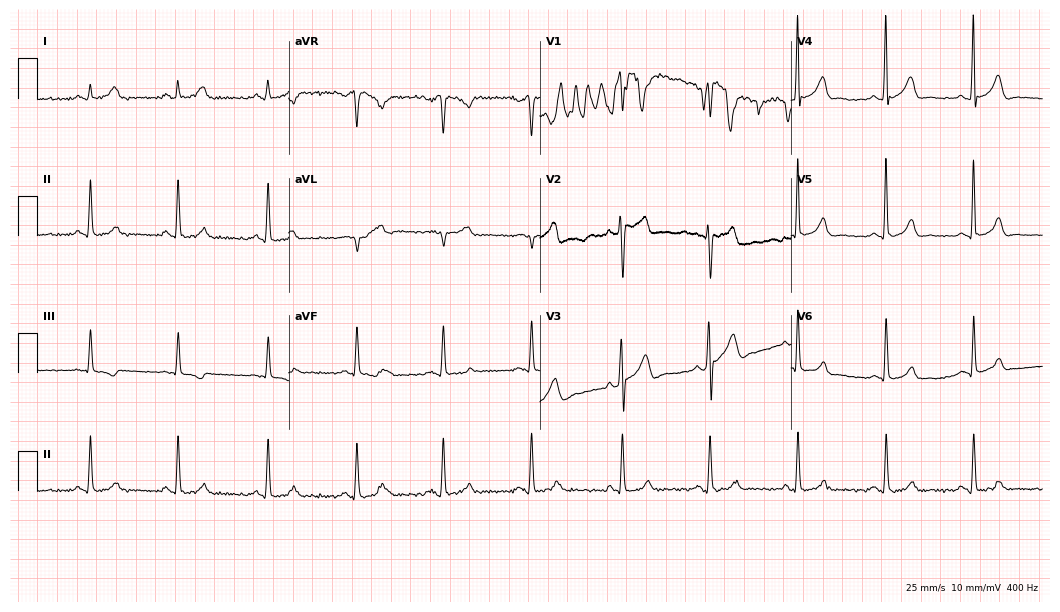
Electrocardiogram (10.2-second recording at 400 Hz), a male, 35 years old. Overall reading on record: normal ECG.